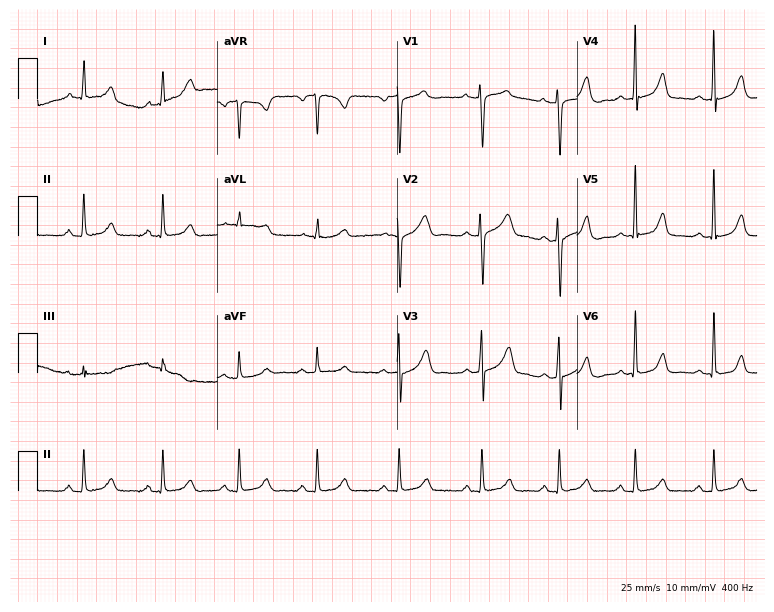
ECG — a 25-year-old woman. Labelled as a normal ECG.